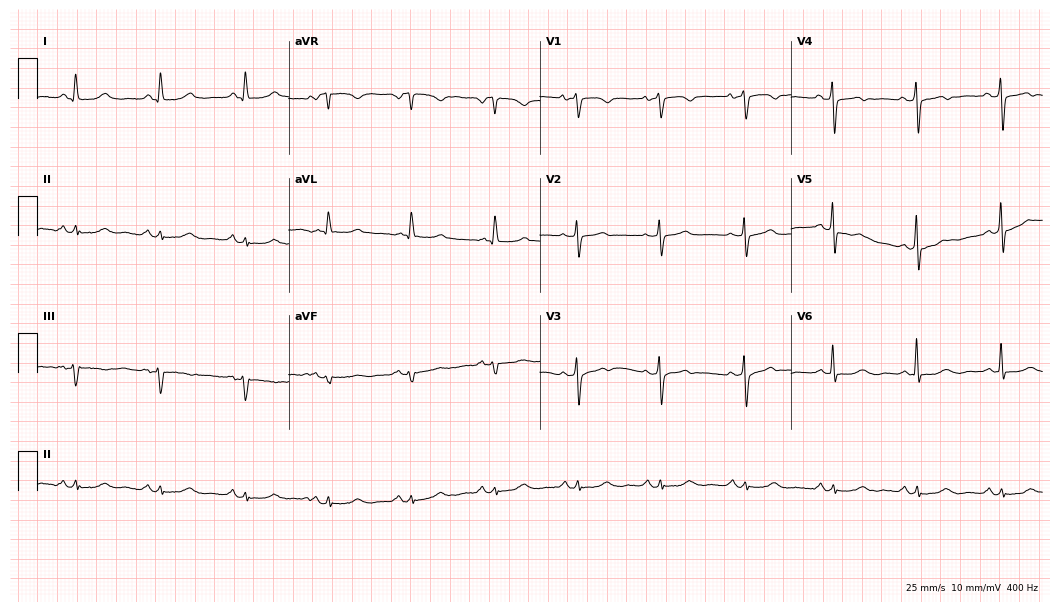
Standard 12-lead ECG recorded from a male patient, 73 years old (10.2-second recording at 400 Hz). Read as a normal ECG.